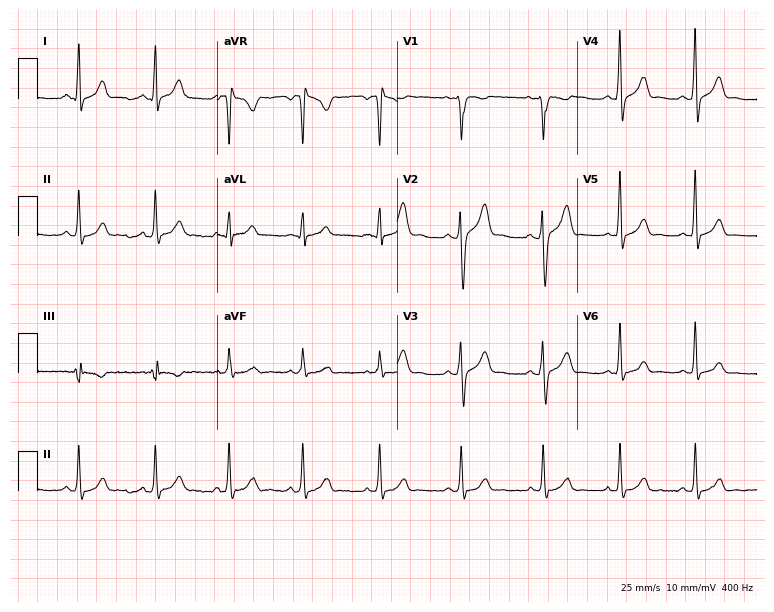
Resting 12-lead electrocardiogram. Patient: a 24-year-old man. Read as a normal ECG.